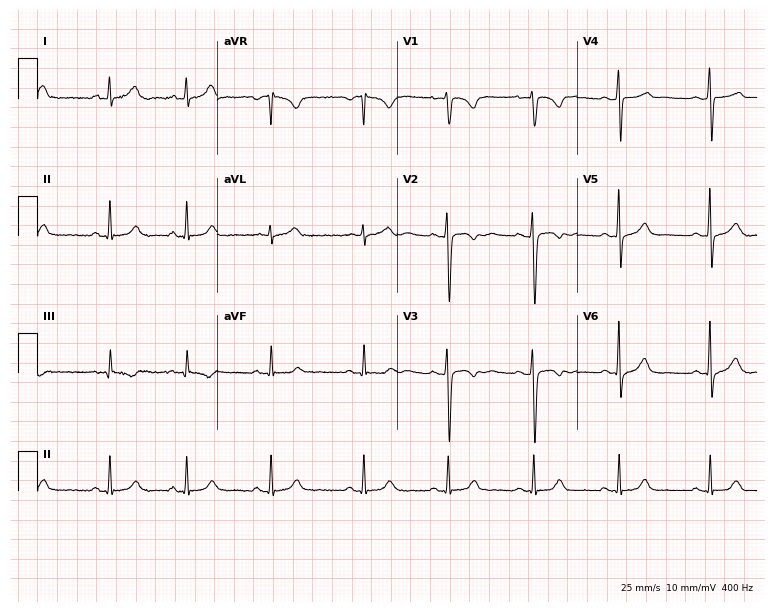
Resting 12-lead electrocardiogram. Patient: a woman, 28 years old. None of these six findings is recorded: first-degree AV block, right bundle branch block (RBBB), left bundle branch block (LBBB), sinus bradycardia, atrial fibrillation (AF), sinus tachycardia.